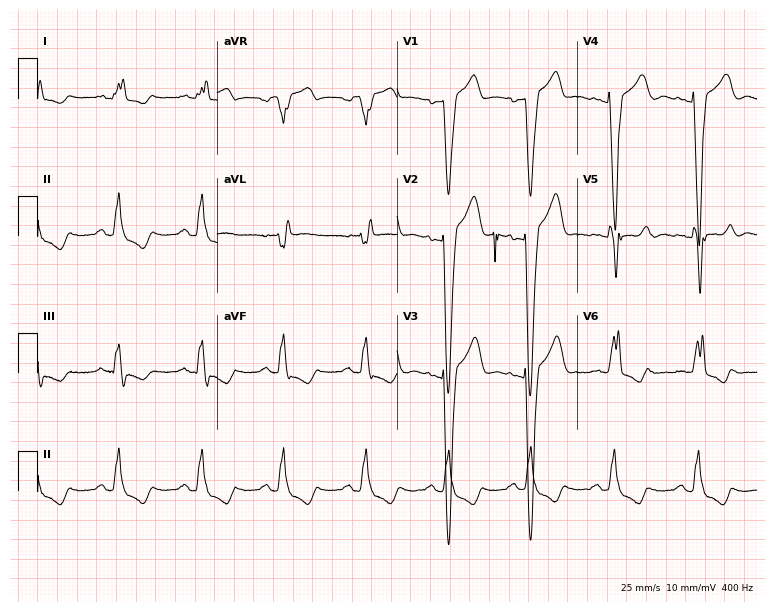
Resting 12-lead electrocardiogram (7.3-second recording at 400 Hz). Patient: a 55-year-old male. The tracing shows left bundle branch block.